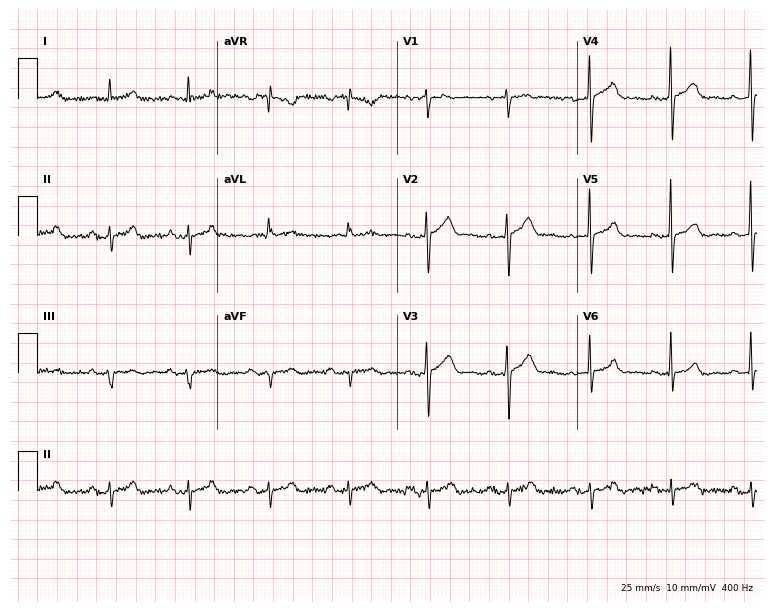
12-lead ECG from a male, 57 years old (7.3-second recording at 400 Hz). No first-degree AV block, right bundle branch block, left bundle branch block, sinus bradycardia, atrial fibrillation or sinus tachycardia recorded for this tracing.